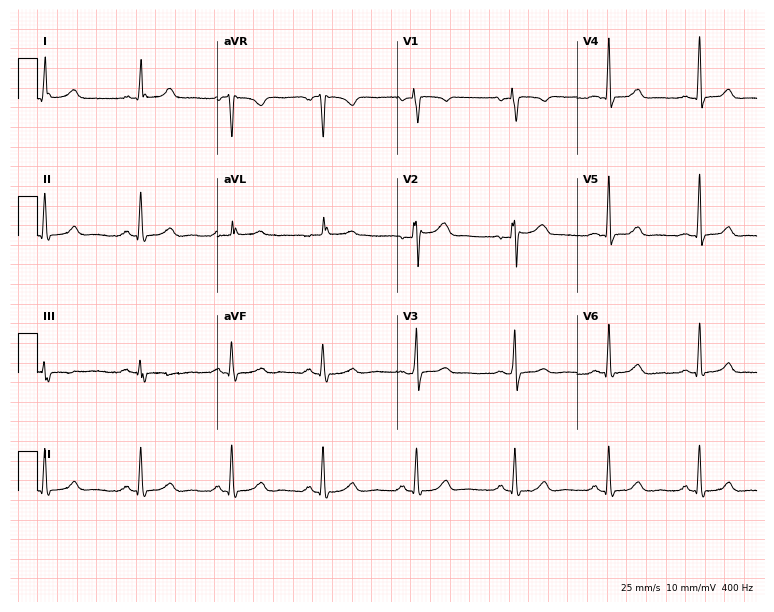
Resting 12-lead electrocardiogram. Patient: a female, 54 years old. Read as a normal ECG.